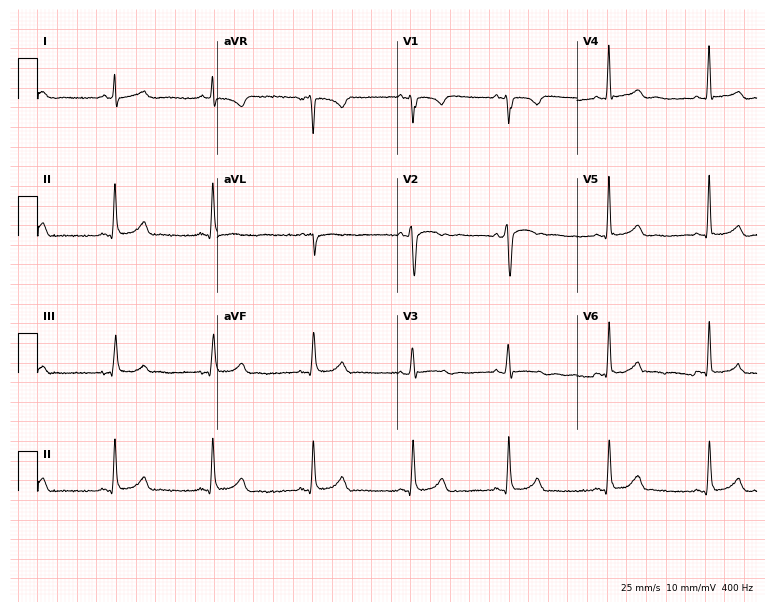
Resting 12-lead electrocardiogram (7.3-second recording at 400 Hz). Patient: a 38-year-old male. Read as a normal ECG.